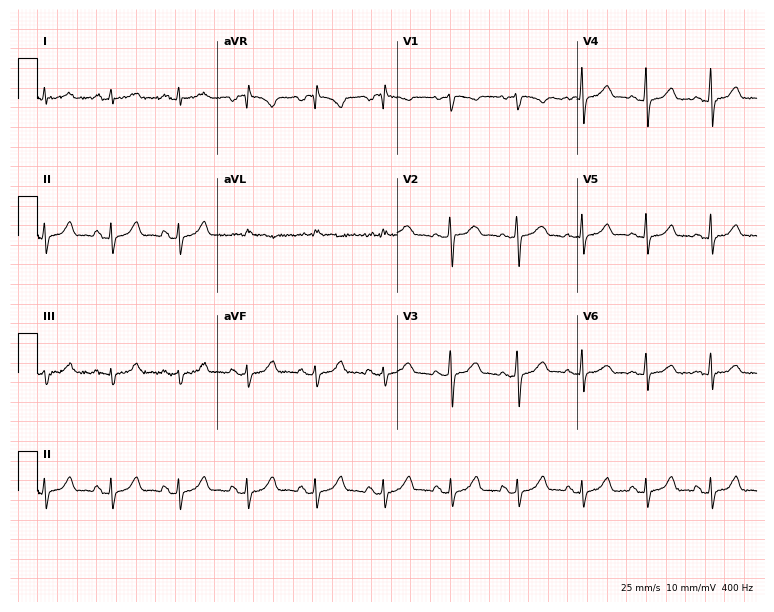
Resting 12-lead electrocardiogram (7.3-second recording at 400 Hz). Patient: a 42-year-old woman. None of these six findings is recorded: first-degree AV block, right bundle branch block, left bundle branch block, sinus bradycardia, atrial fibrillation, sinus tachycardia. Findings outside these six are not listed.